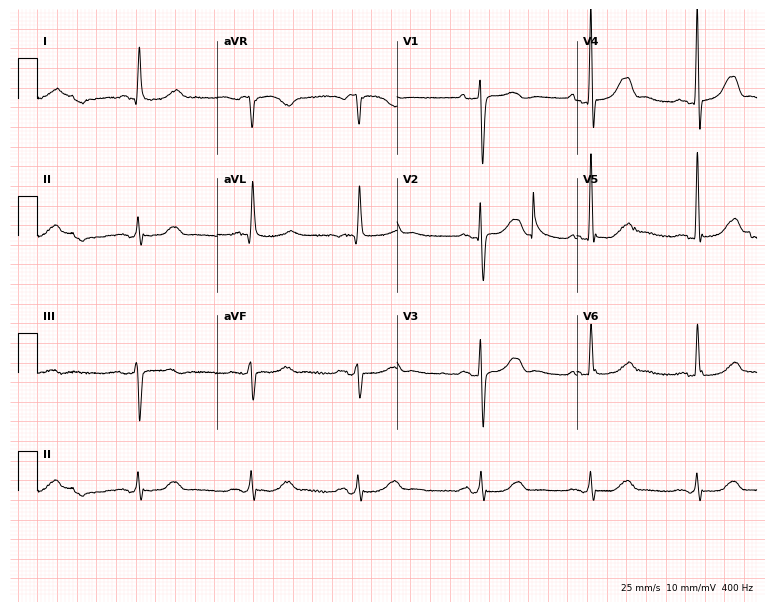
12-lead ECG from an 80-year-old woman (7.3-second recording at 400 Hz). No first-degree AV block, right bundle branch block, left bundle branch block, sinus bradycardia, atrial fibrillation or sinus tachycardia recorded for this tracing.